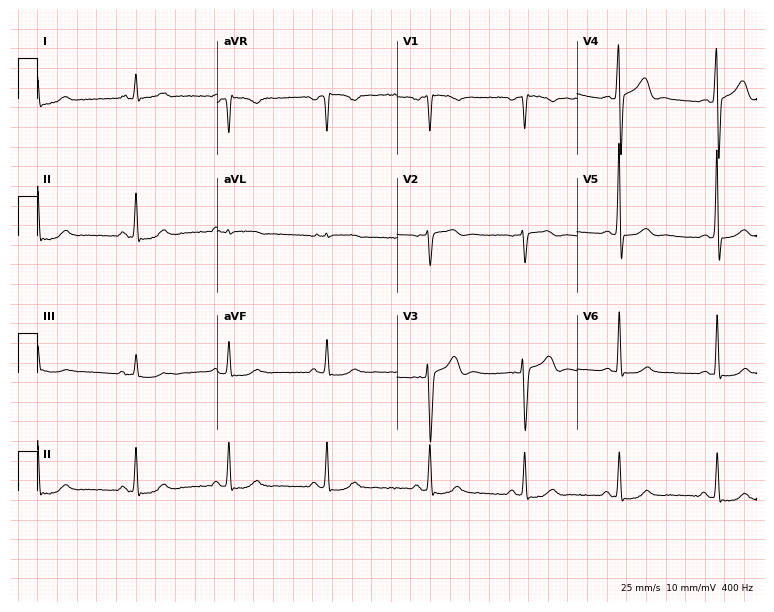
Standard 12-lead ECG recorded from a 45-year-old male patient. None of these six findings is recorded: first-degree AV block, right bundle branch block, left bundle branch block, sinus bradycardia, atrial fibrillation, sinus tachycardia.